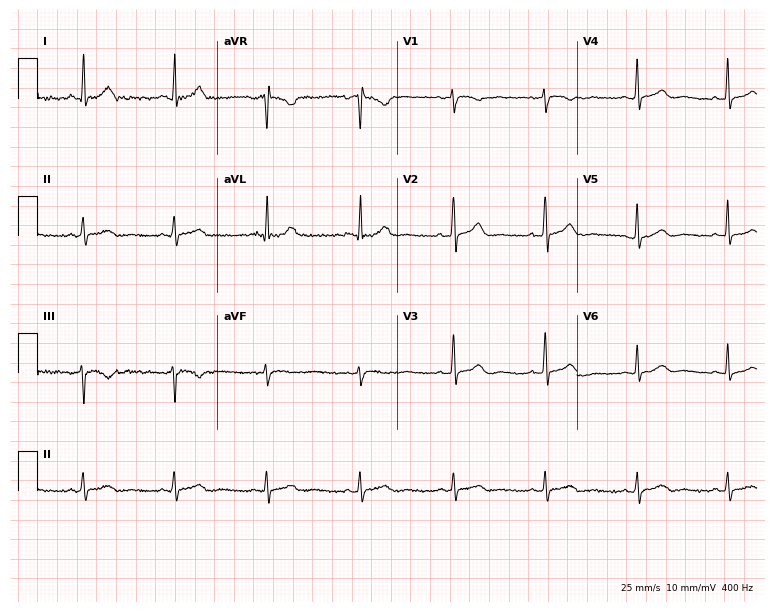
12-lead ECG (7.3-second recording at 400 Hz) from a female, 38 years old. Labelled as a normal ECG.